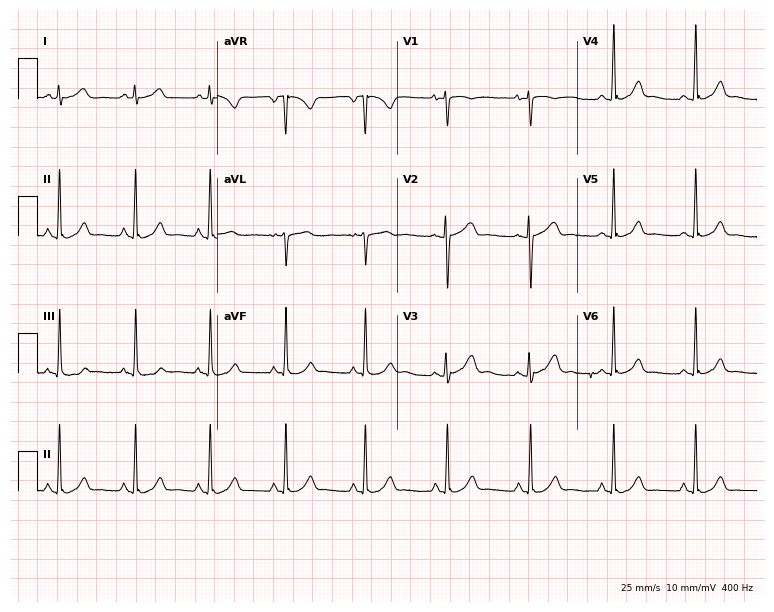
Electrocardiogram, a 20-year-old female patient. Of the six screened findings (first-degree AV block, right bundle branch block, left bundle branch block, sinus bradycardia, atrial fibrillation, sinus tachycardia), none is recorded.